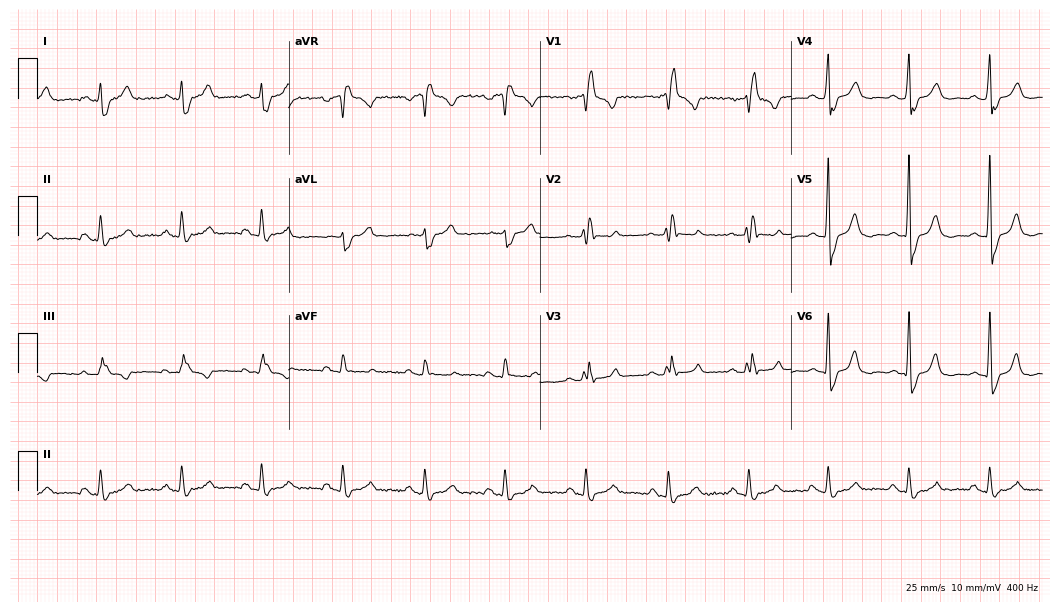
Electrocardiogram, a male patient, 56 years old. Interpretation includes right bundle branch block.